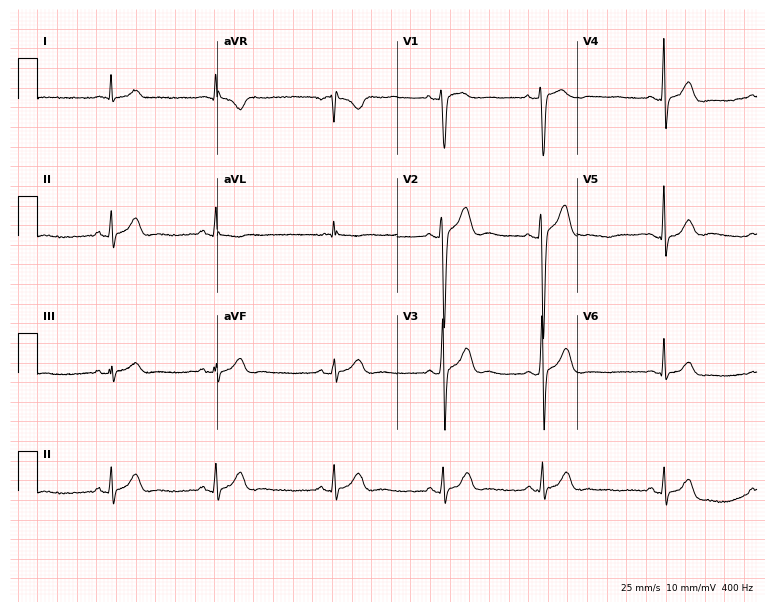
ECG (7.3-second recording at 400 Hz) — a 38-year-old male patient. Labelled as a normal ECG.